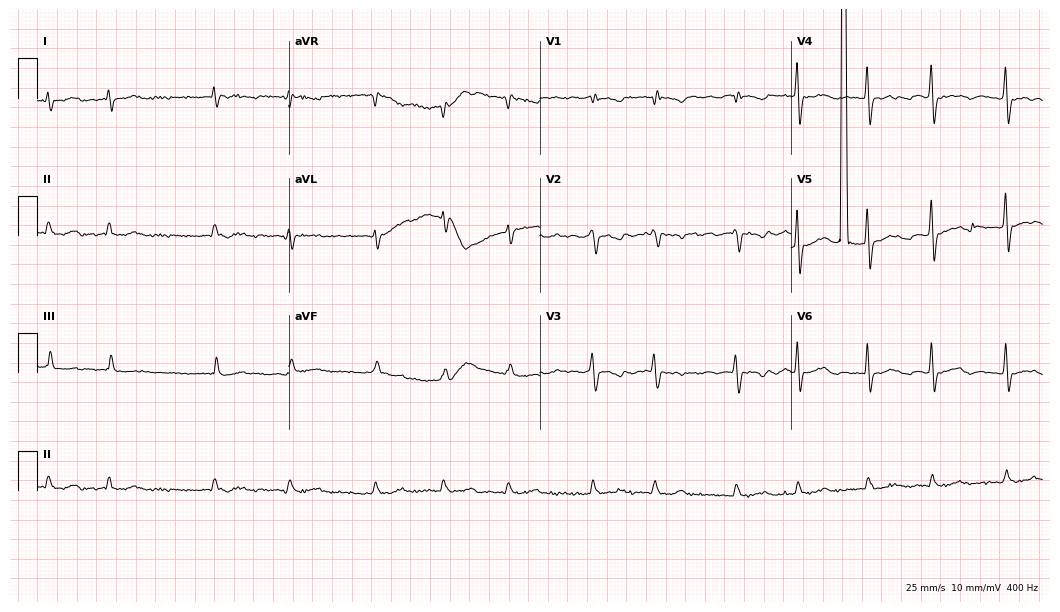
12-lead ECG from a female patient, 80 years old. Findings include atrial fibrillation.